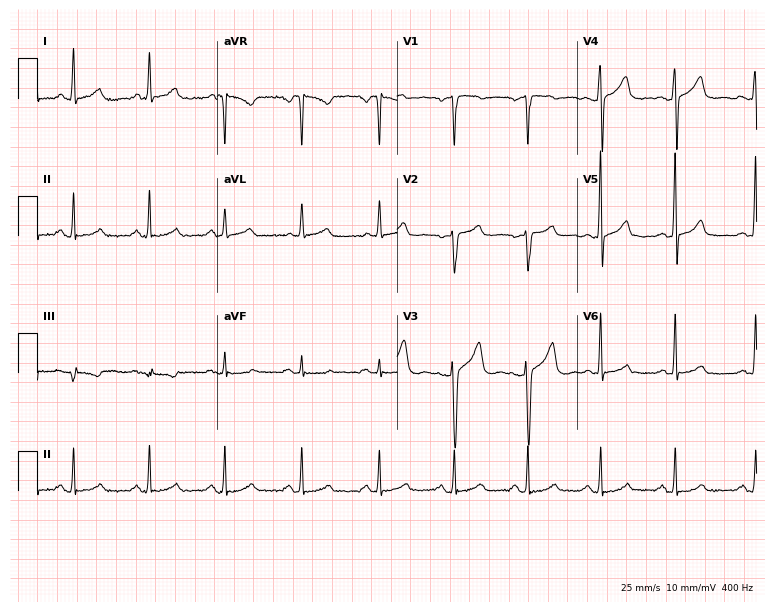
ECG (7.3-second recording at 400 Hz) — a 38-year-old woman. Screened for six findings — first-degree AV block, right bundle branch block, left bundle branch block, sinus bradycardia, atrial fibrillation, sinus tachycardia — none is recorded. Other findings, if any, are not listed.